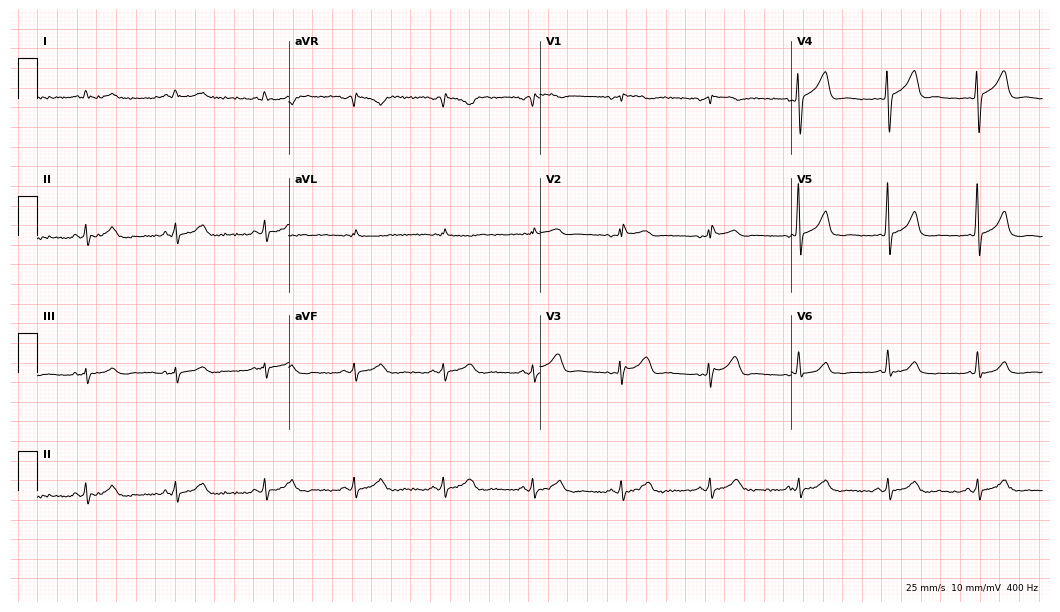
ECG (10.2-second recording at 400 Hz) — a 55-year-old male patient. Screened for six findings — first-degree AV block, right bundle branch block (RBBB), left bundle branch block (LBBB), sinus bradycardia, atrial fibrillation (AF), sinus tachycardia — none is recorded. Other findings, if any, are not listed.